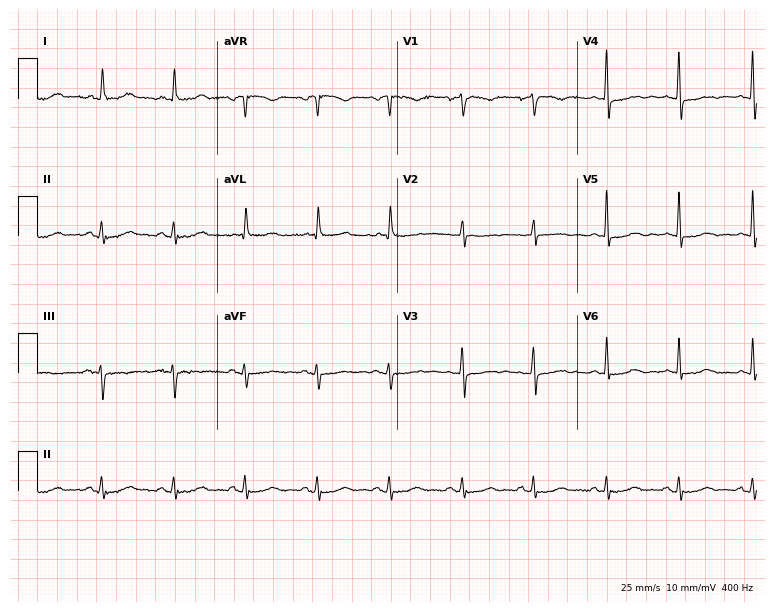
ECG (7.3-second recording at 400 Hz) — a 71-year-old female patient. Labelled as a normal ECG.